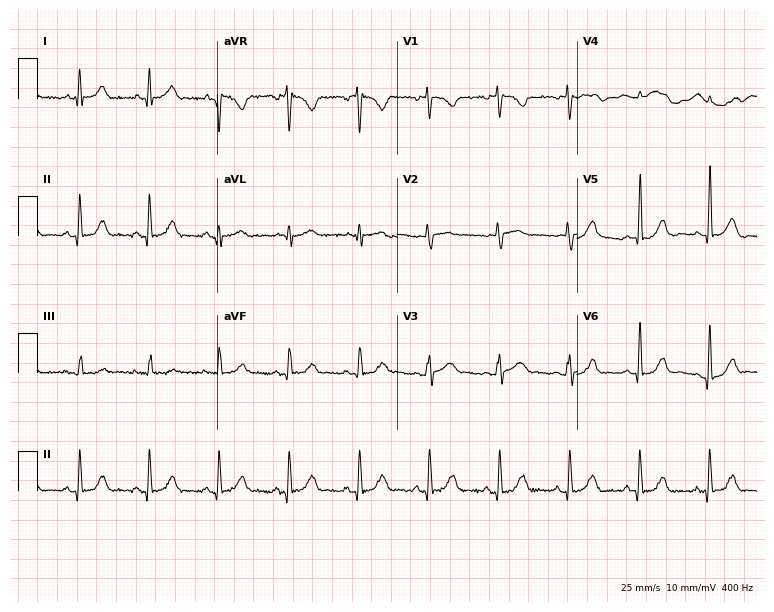
Electrocardiogram, a 62-year-old female. Overall reading on record: normal ECG.